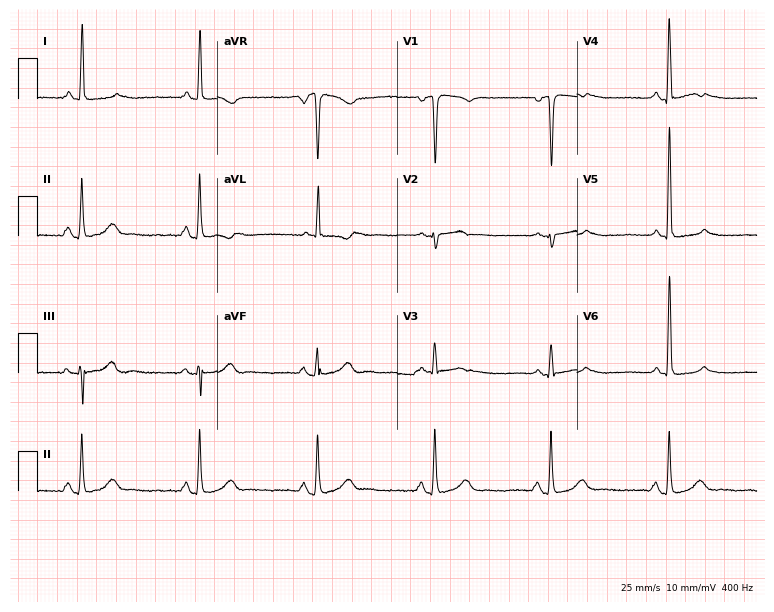
Electrocardiogram, a 73-year-old woman. Of the six screened findings (first-degree AV block, right bundle branch block, left bundle branch block, sinus bradycardia, atrial fibrillation, sinus tachycardia), none is recorded. Only these six findings were labelled.